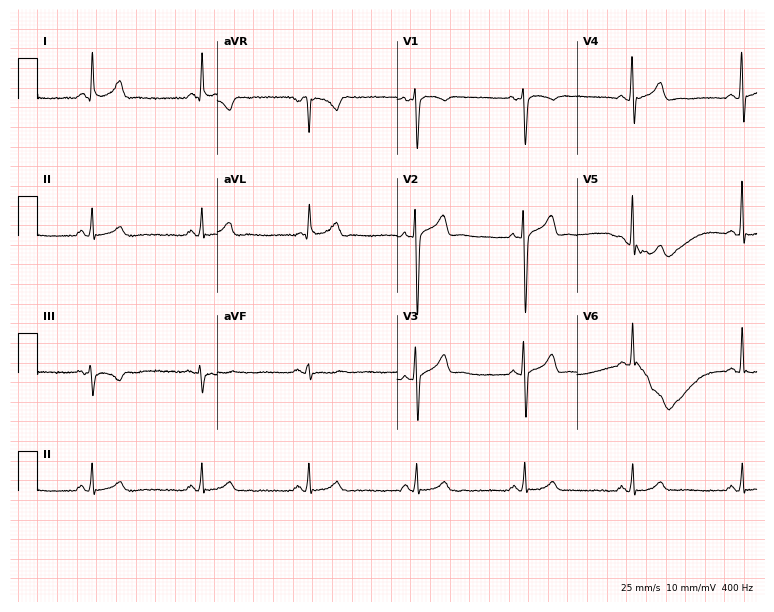
ECG — a 62-year-old man. Labelled as a normal ECG.